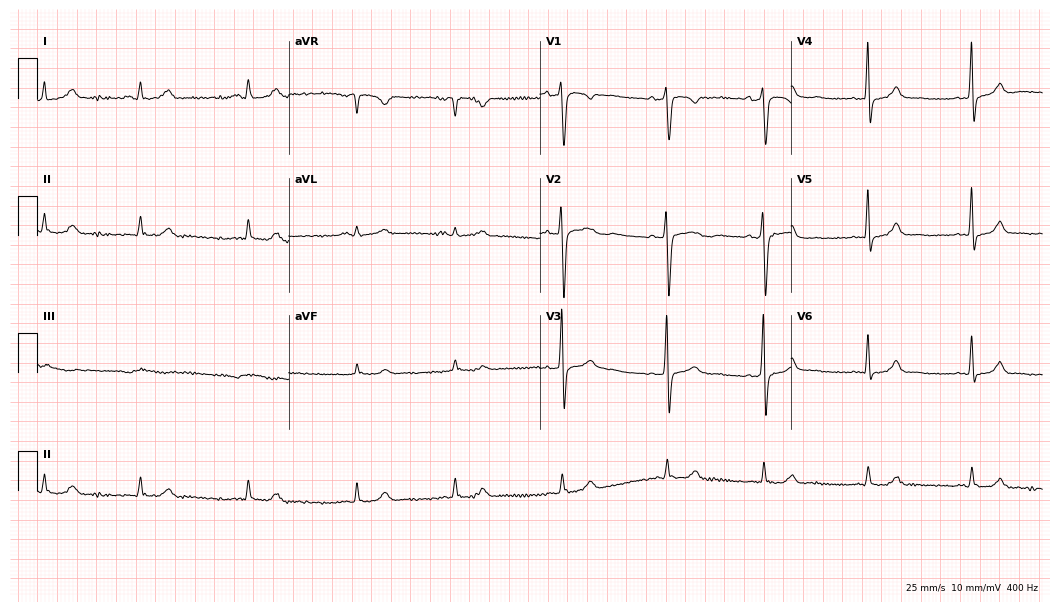
ECG — a woman, 32 years old. Labelled as a normal ECG.